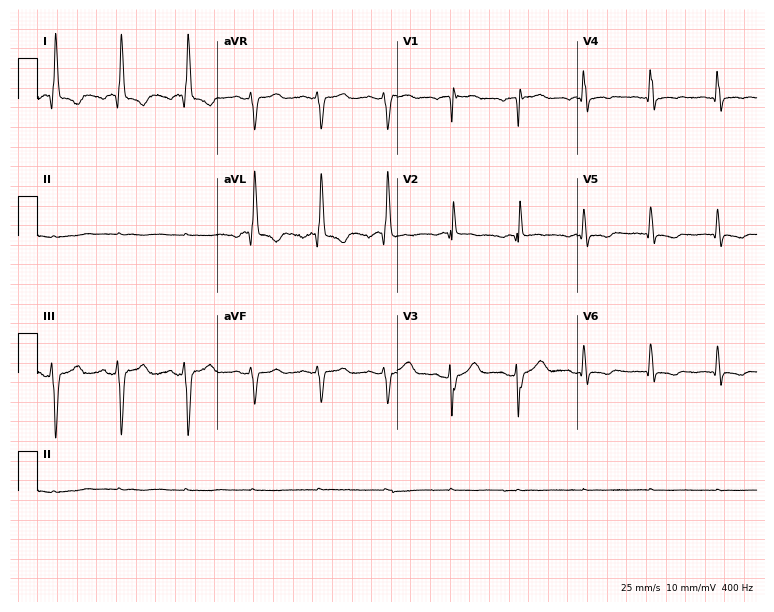
12-lead ECG from a woman, 69 years old. Screened for six findings — first-degree AV block, right bundle branch block, left bundle branch block, sinus bradycardia, atrial fibrillation, sinus tachycardia — none is recorded.